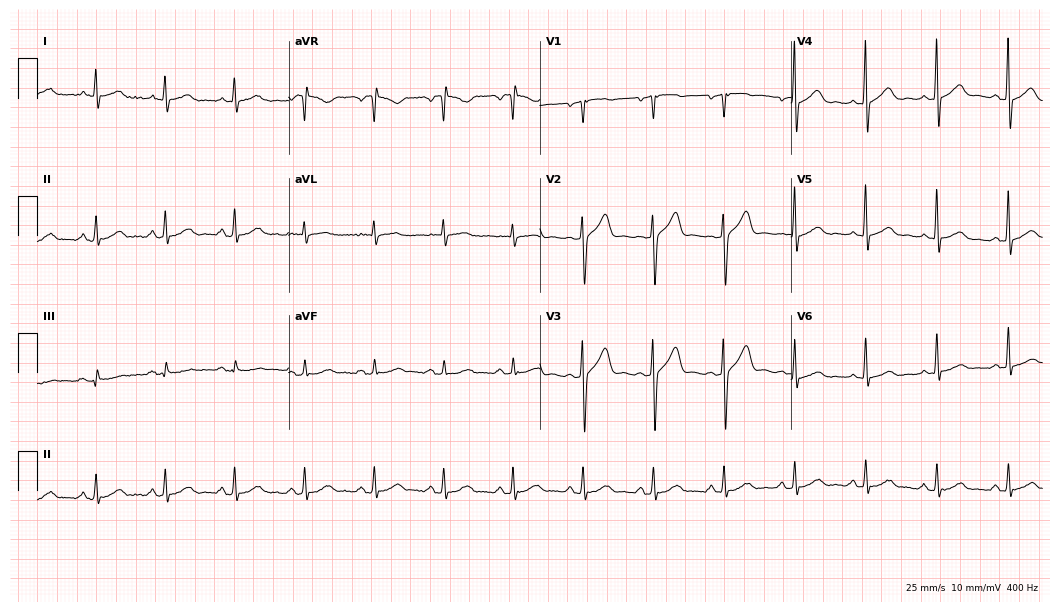
Resting 12-lead electrocardiogram. Patient: a 46-year-old male. Read as a normal ECG.